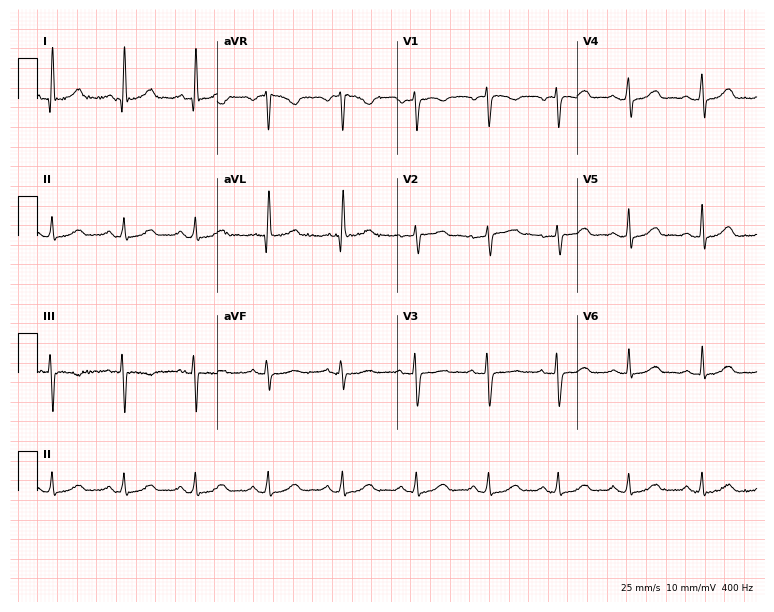
12-lead ECG from a 61-year-old female patient (7.3-second recording at 400 Hz). Recorded interpretation: within normal limits.